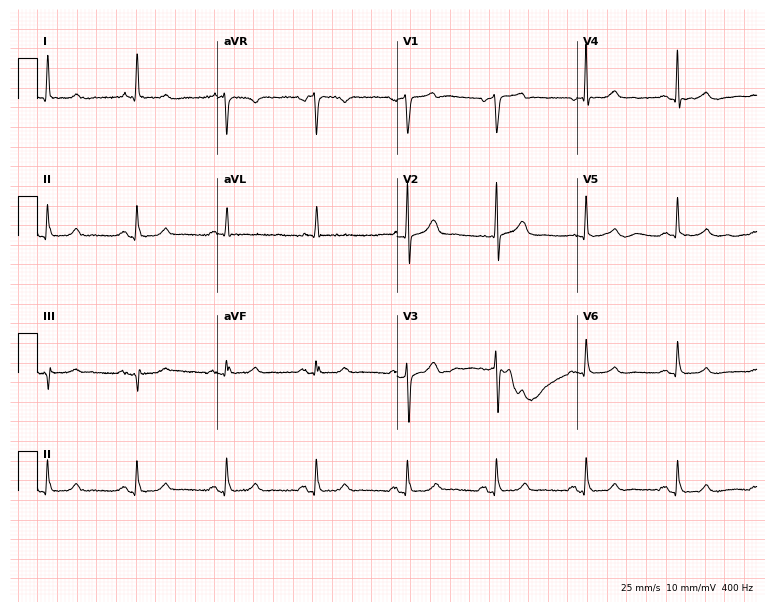
ECG — a 60-year-old man. Labelled as a normal ECG.